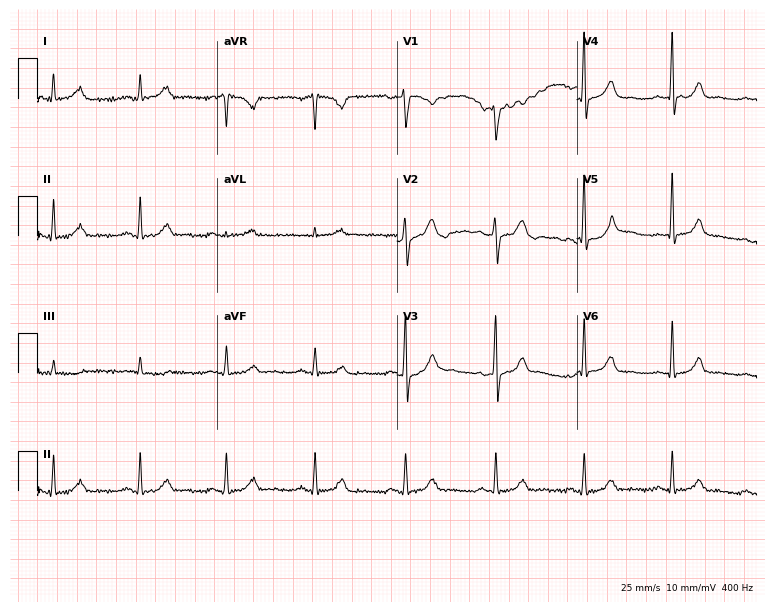
Standard 12-lead ECG recorded from a 44-year-old male patient (7.3-second recording at 400 Hz). None of these six findings is recorded: first-degree AV block, right bundle branch block, left bundle branch block, sinus bradycardia, atrial fibrillation, sinus tachycardia. Findings outside these six are not listed.